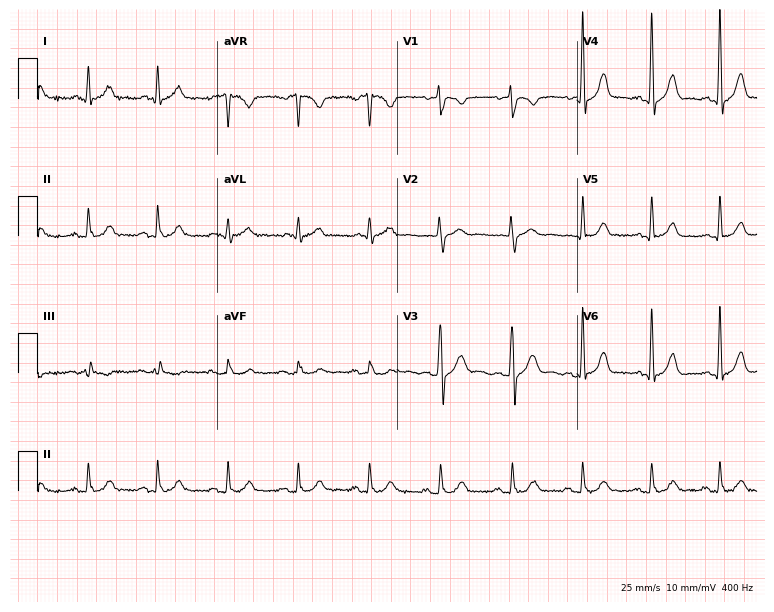
ECG (7.3-second recording at 400 Hz) — a 55-year-old man. Labelled as a normal ECG.